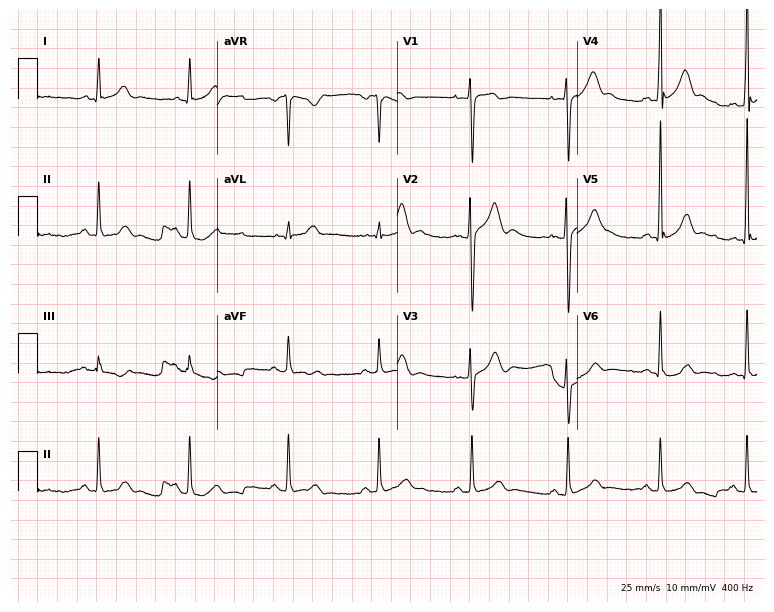
Standard 12-lead ECG recorded from a male patient, 18 years old. Read as a normal ECG.